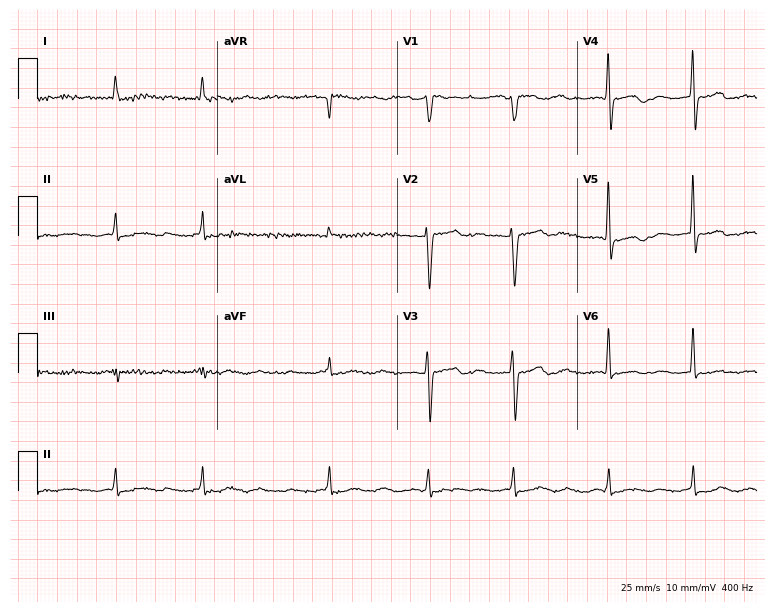
12-lead ECG (7.3-second recording at 400 Hz) from an 82-year-old female patient. Findings include atrial fibrillation.